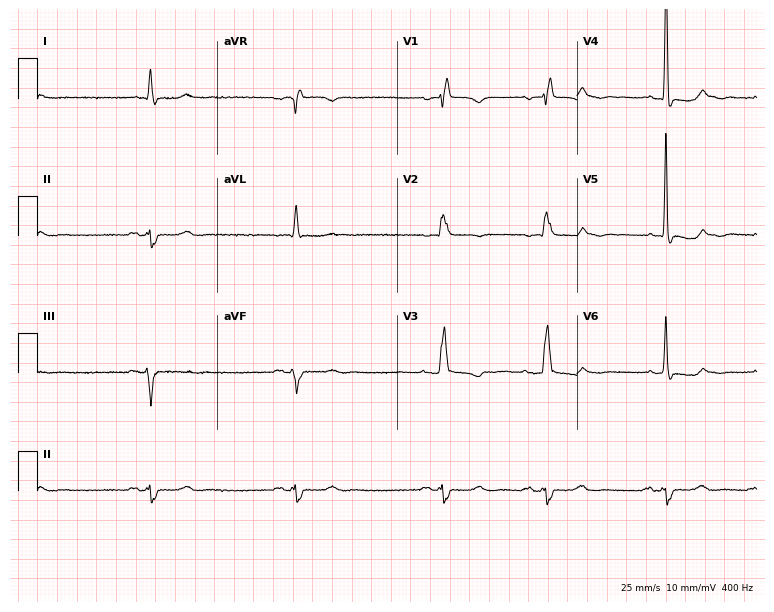
12-lead ECG from a woman, 72 years old (7.3-second recording at 400 Hz). Shows left bundle branch block.